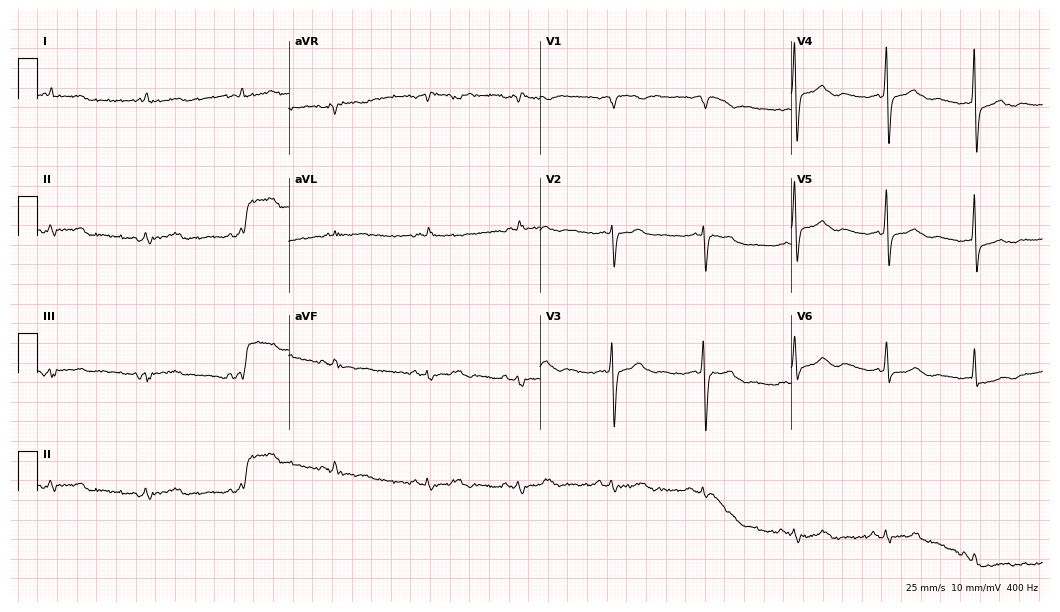
12-lead ECG from a male patient, 83 years old. Screened for six findings — first-degree AV block, right bundle branch block (RBBB), left bundle branch block (LBBB), sinus bradycardia, atrial fibrillation (AF), sinus tachycardia — none is recorded. Only these six findings were labelled.